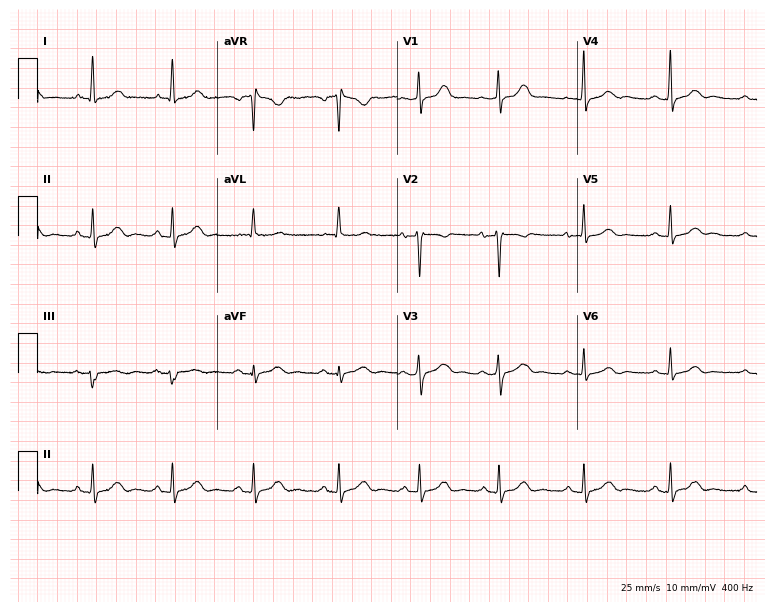
12-lead ECG from a female, 50 years old. No first-degree AV block, right bundle branch block, left bundle branch block, sinus bradycardia, atrial fibrillation or sinus tachycardia recorded for this tracing.